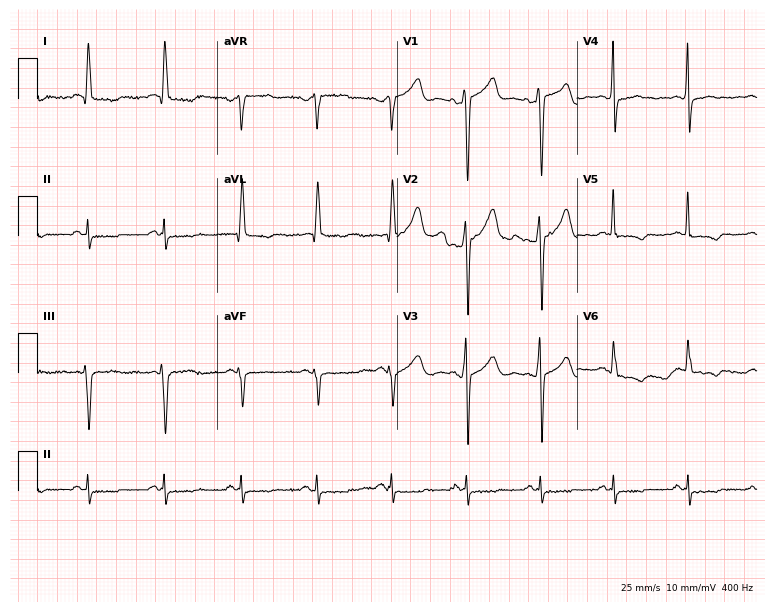
12-lead ECG from a 58-year-old man (7.3-second recording at 400 Hz). No first-degree AV block, right bundle branch block, left bundle branch block, sinus bradycardia, atrial fibrillation or sinus tachycardia recorded for this tracing.